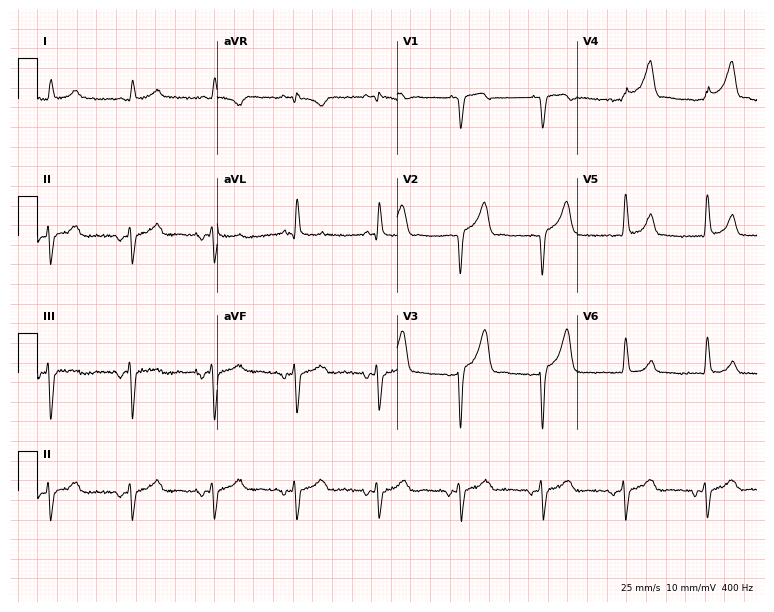
Standard 12-lead ECG recorded from a male, 85 years old (7.3-second recording at 400 Hz). None of these six findings is recorded: first-degree AV block, right bundle branch block (RBBB), left bundle branch block (LBBB), sinus bradycardia, atrial fibrillation (AF), sinus tachycardia. Findings outside these six are not listed.